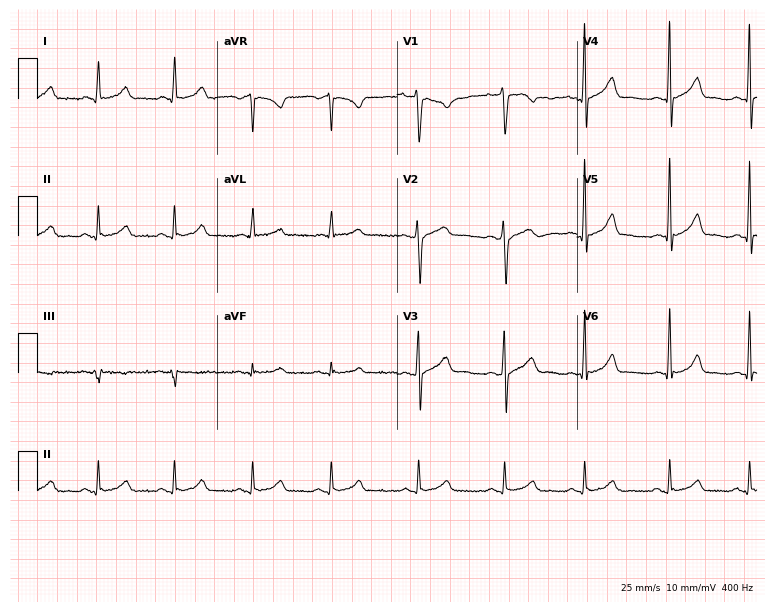
ECG — a woman, 31 years old. Screened for six findings — first-degree AV block, right bundle branch block (RBBB), left bundle branch block (LBBB), sinus bradycardia, atrial fibrillation (AF), sinus tachycardia — none is recorded. Other findings, if any, are not listed.